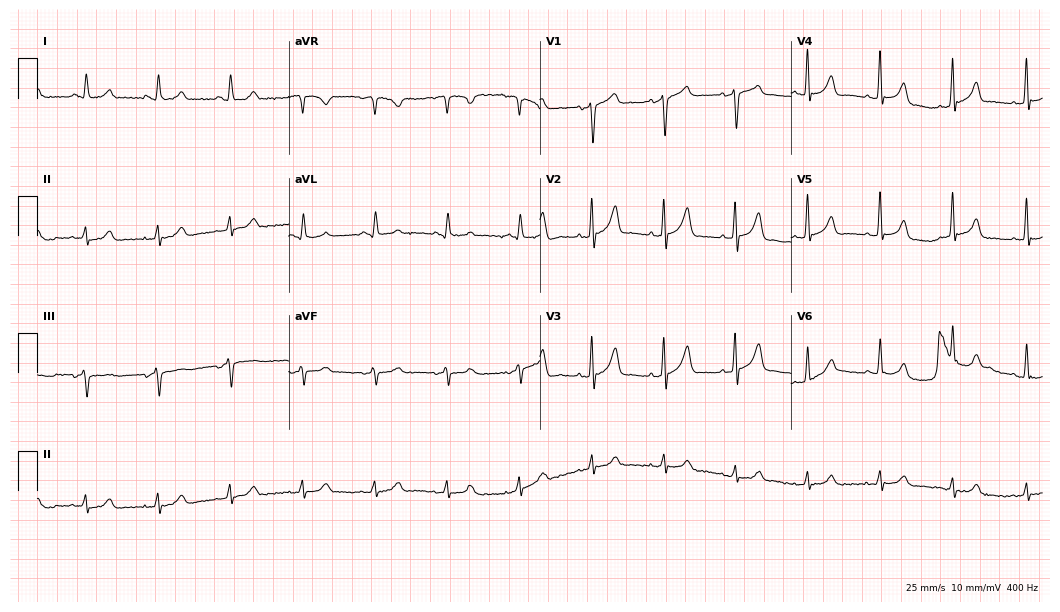
Electrocardiogram (10.2-second recording at 400 Hz), a 78-year-old man. Overall reading on record: normal ECG.